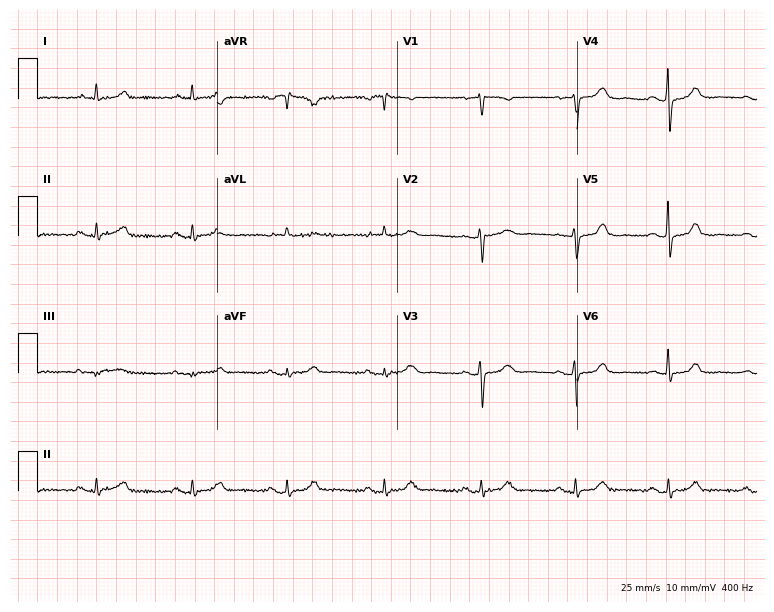
Resting 12-lead electrocardiogram. Patient: a female, 70 years old. Read as a normal ECG.